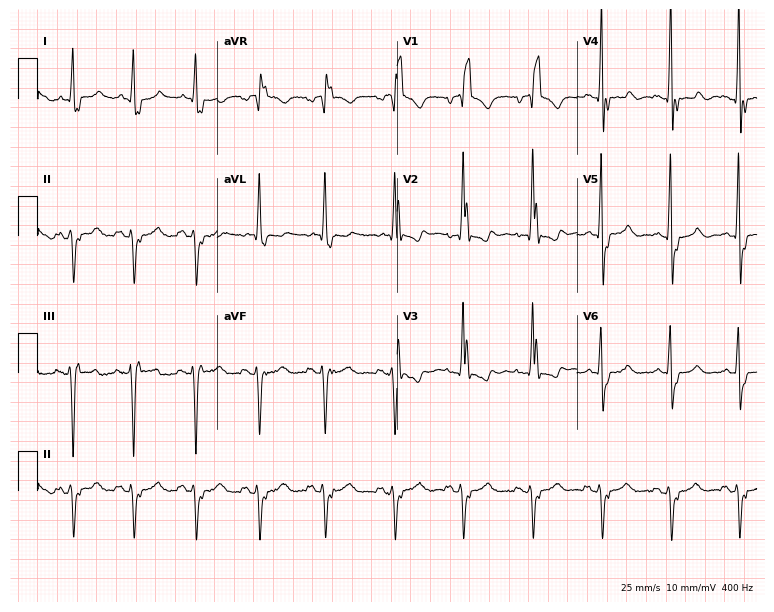
Standard 12-lead ECG recorded from a 58-year-old female patient (7.3-second recording at 400 Hz). The tracing shows right bundle branch block.